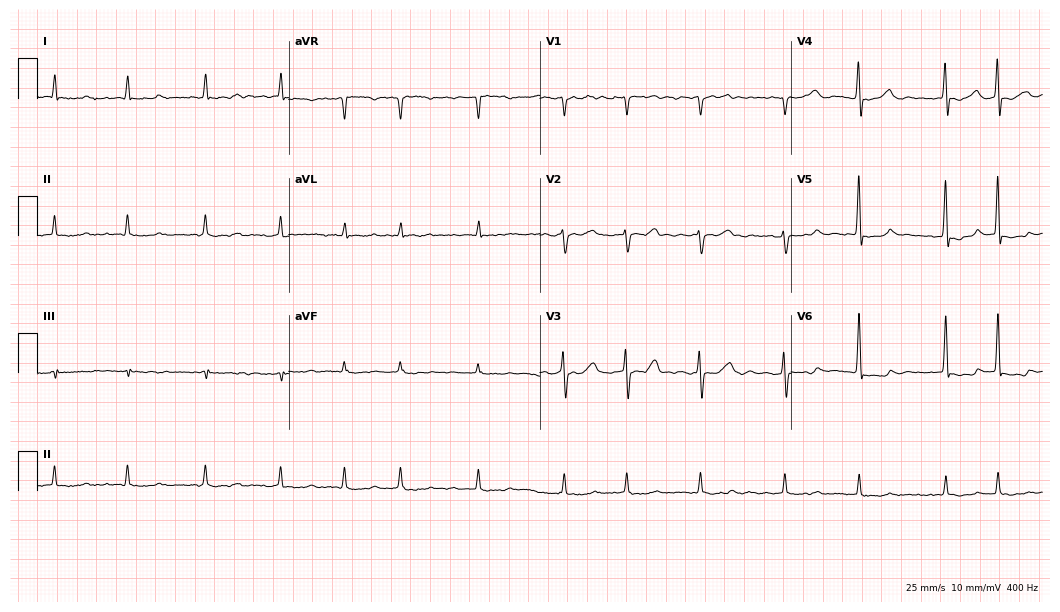
ECG (10.2-second recording at 400 Hz) — an 82-year-old female. Findings include atrial fibrillation (AF).